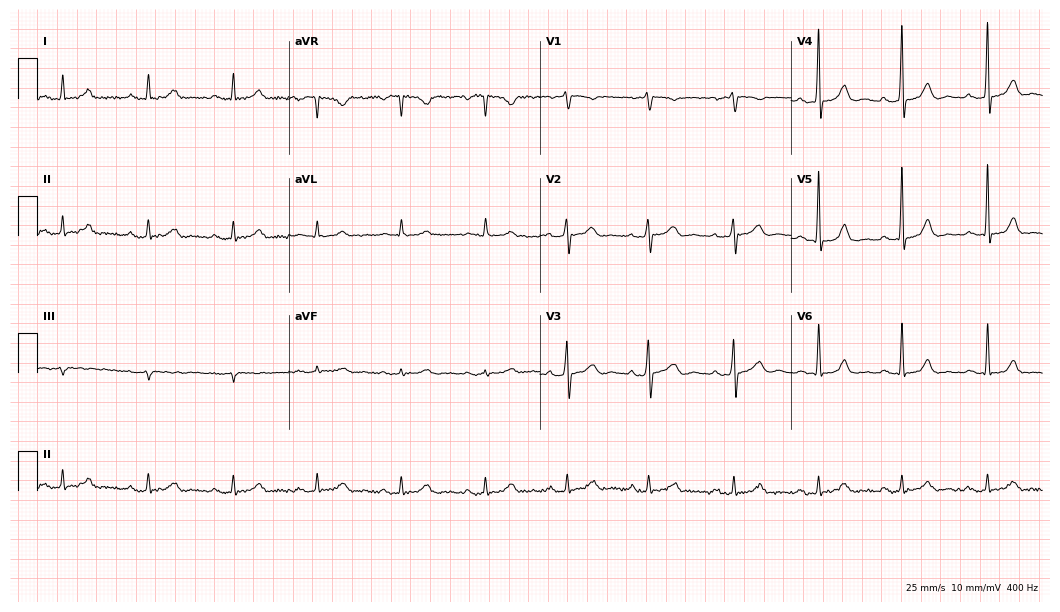
Electrocardiogram, a male patient, 52 years old. Overall reading on record: normal ECG.